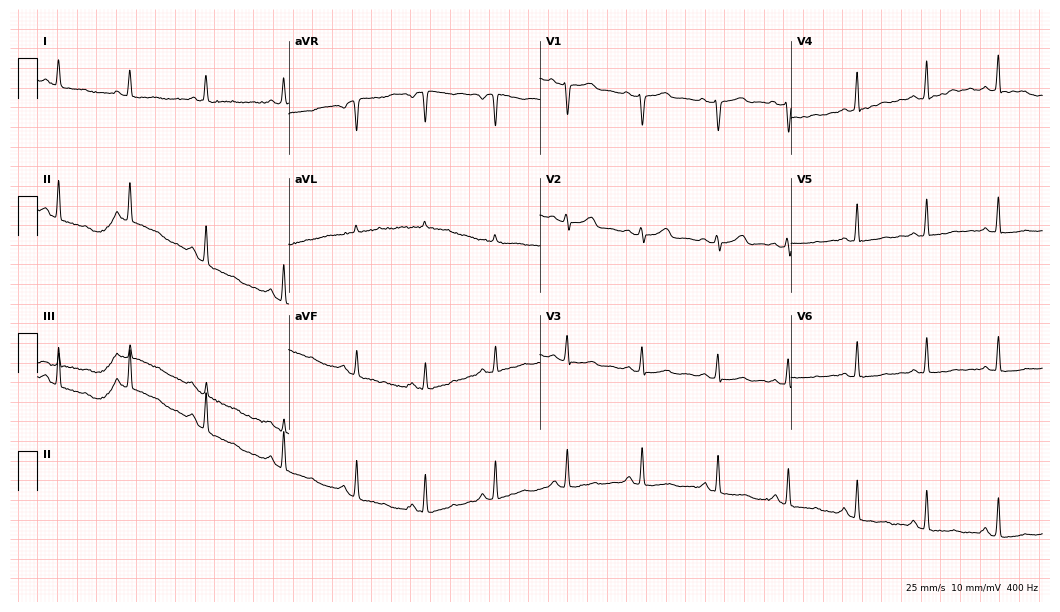
ECG (10.2-second recording at 400 Hz) — a 49-year-old female patient. Screened for six findings — first-degree AV block, right bundle branch block (RBBB), left bundle branch block (LBBB), sinus bradycardia, atrial fibrillation (AF), sinus tachycardia — none is recorded. Other findings, if any, are not listed.